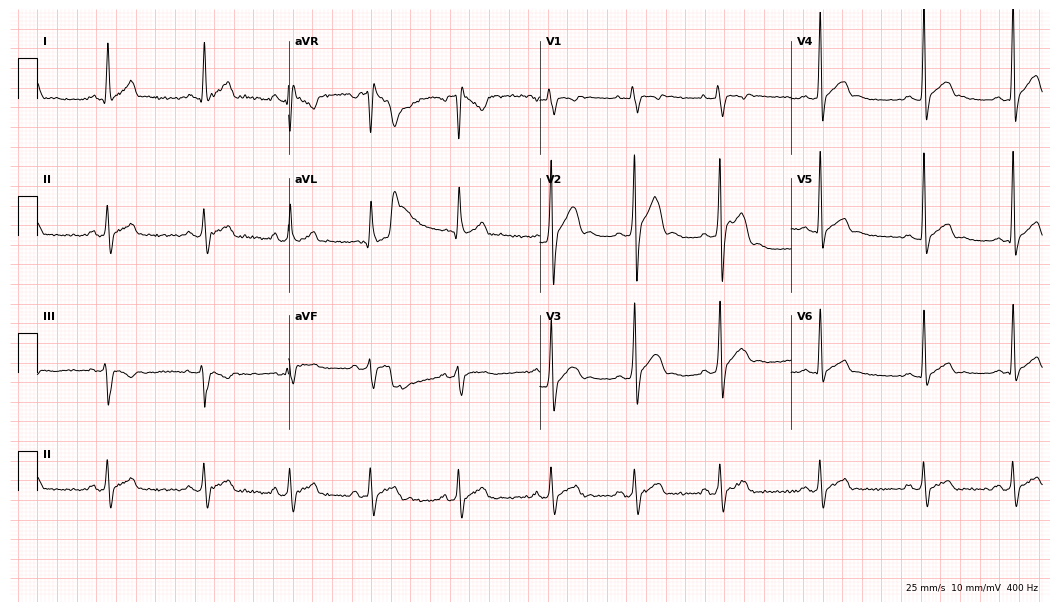
Electrocardiogram (10.2-second recording at 400 Hz), a 20-year-old man. Of the six screened findings (first-degree AV block, right bundle branch block (RBBB), left bundle branch block (LBBB), sinus bradycardia, atrial fibrillation (AF), sinus tachycardia), none is recorded. Only these six findings were labelled.